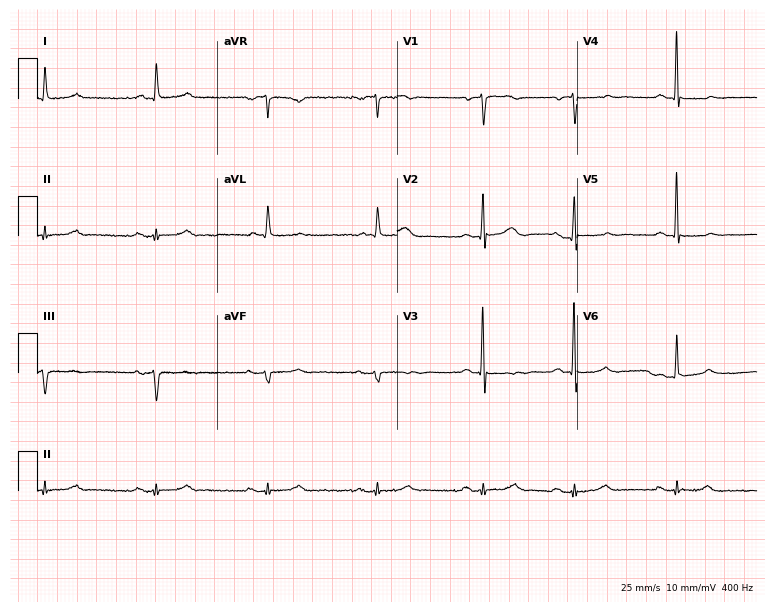
ECG — an 85-year-old male patient. Labelled as a normal ECG.